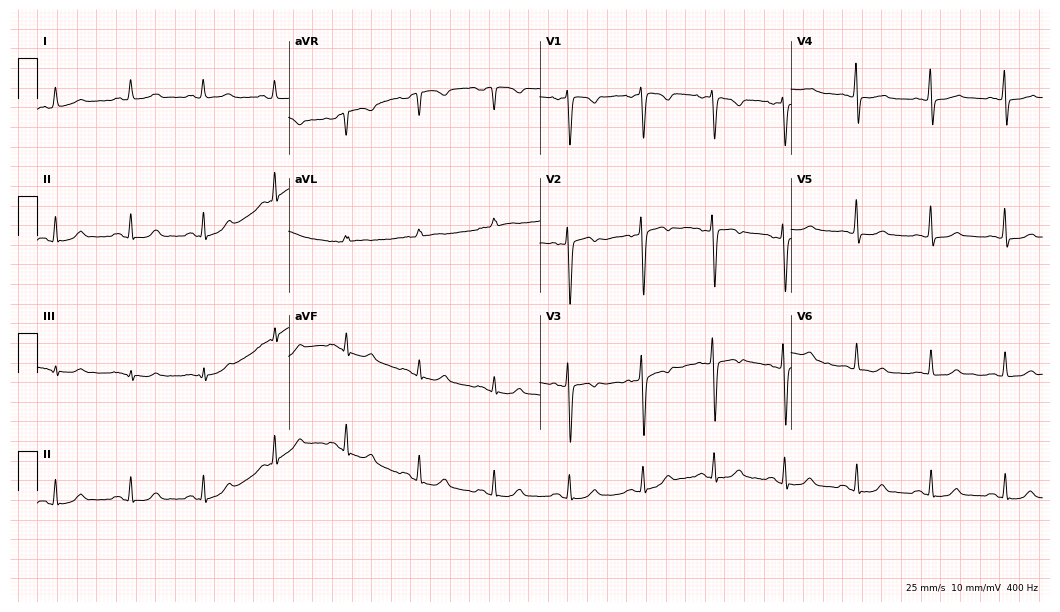
ECG — a female, 49 years old. Screened for six findings — first-degree AV block, right bundle branch block (RBBB), left bundle branch block (LBBB), sinus bradycardia, atrial fibrillation (AF), sinus tachycardia — none is recorded.